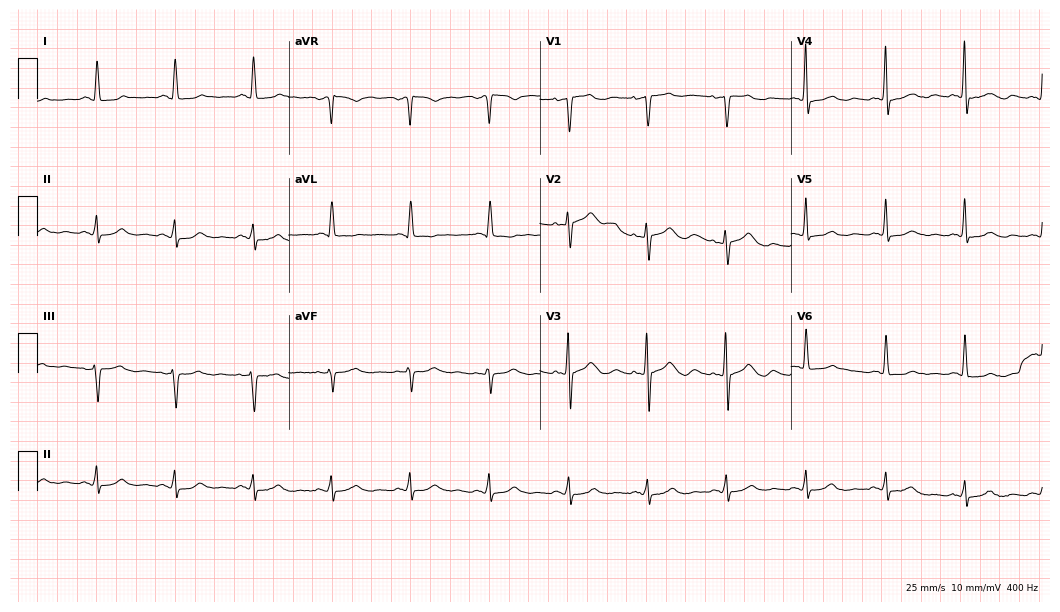
Electrocardiogram, an 81-year-old female. Of the six screened findings (first-degree AV block, right bundle branch block (RBBB), left bundle branch block (LBBB), sinus bradycardia, atrial fibrillation (AF), sinus tachycardia), none is recorded.